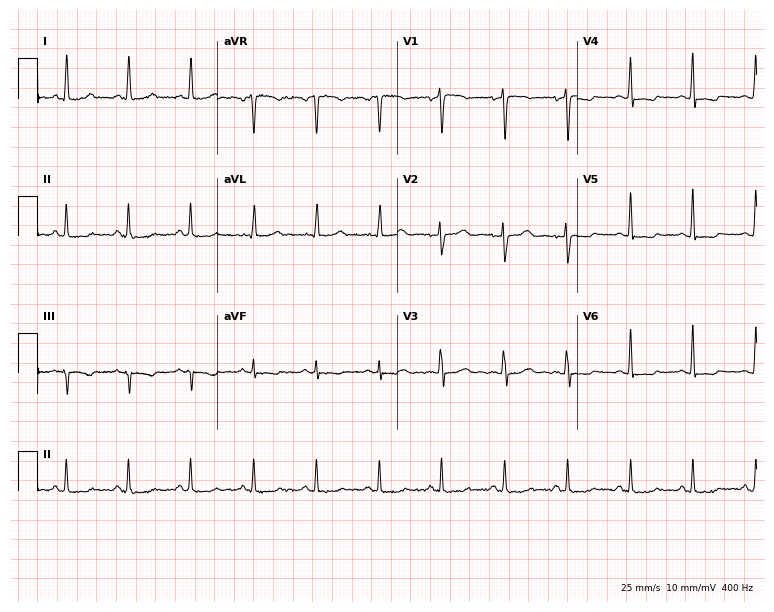
ECG — a 35-year-old female. Screened for six findings — first-degree AV block, right bundle branch block, left bundle branch block, sinus bradycardia, atrial fibrillation, sinus tachycardia — none is recorded.